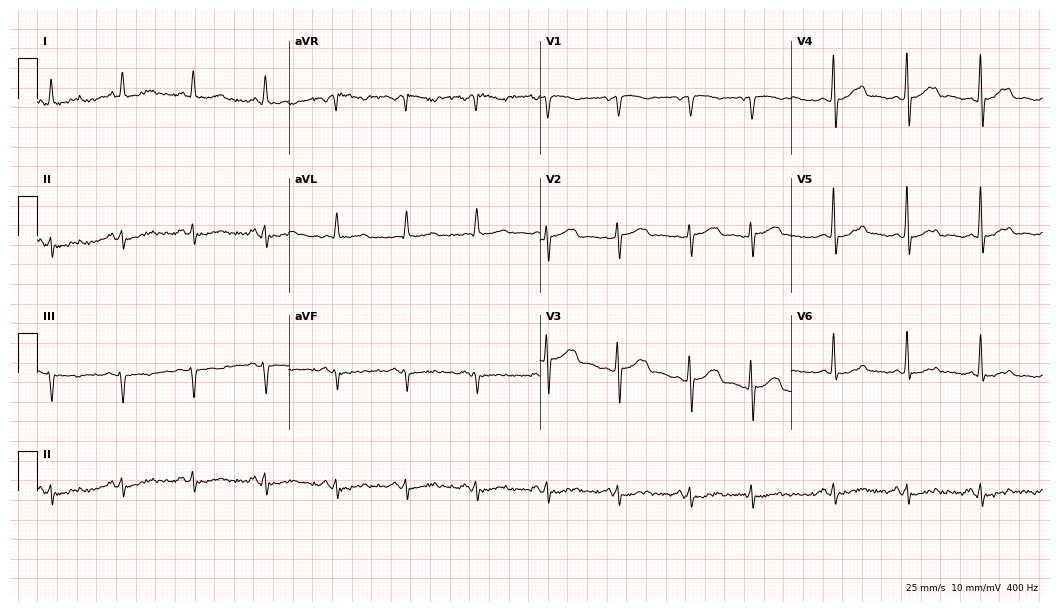
Standard 12-lead ECG recorded from a 69-year-old female (10.2-second recording at 400 Hz). None of these six findings is recorded: first-degree AV block, right bundle branch block (RBBB), left bundle branch block (LBBB), sinus bradycardia, atrial fibrillation (AF), sinus tachycardia. Findings outside these six are not listed.